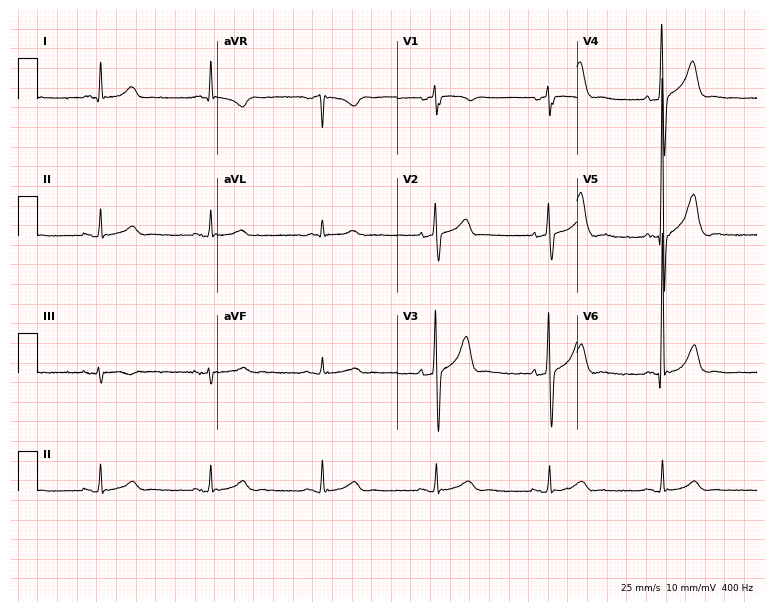
12-lead ECG from a man, 75 years old. Recorded interpretation: within normal limits.